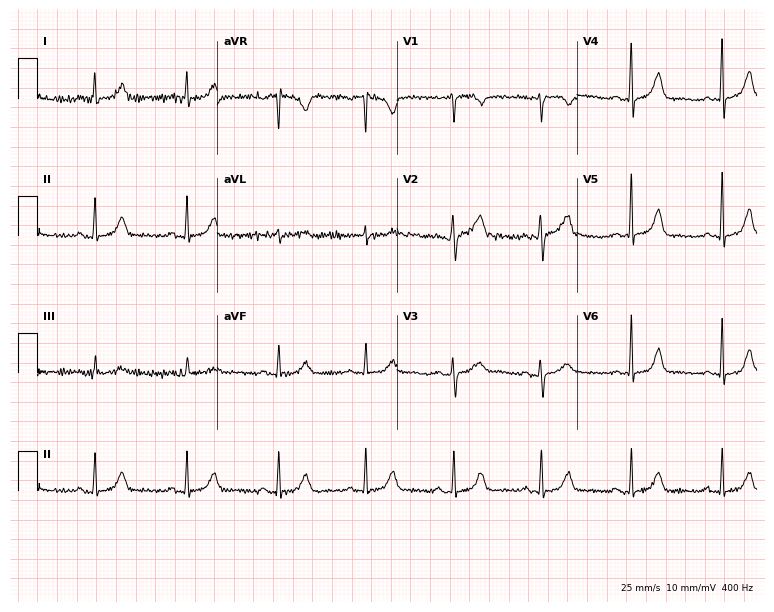
Electrocardiogram, a 65-year-old woman. Overall reading on record: normal ECG.